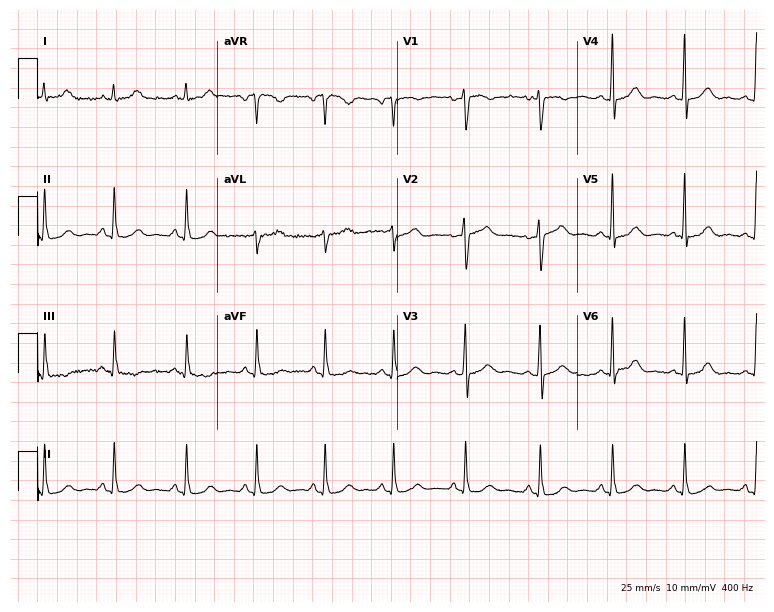
12-lead ECG from a 43-year-old female. Recorded interpretation: within normal limits.